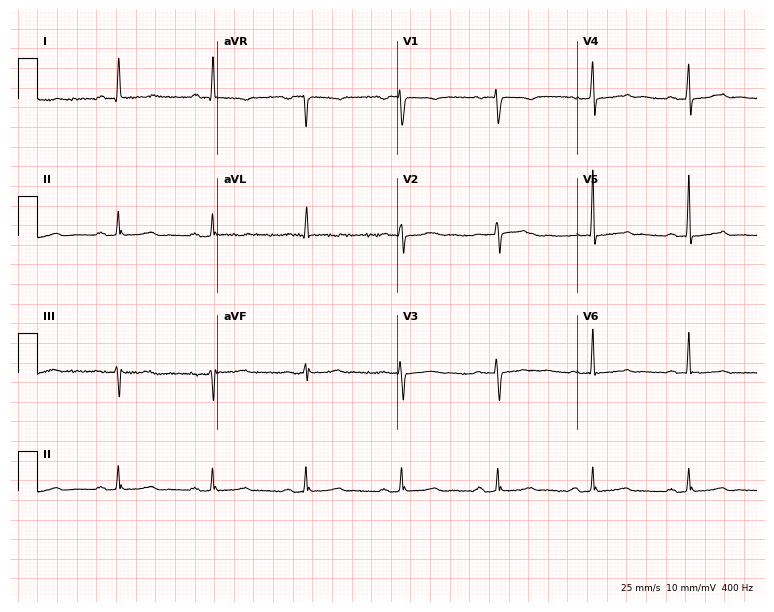
12-lead ECG from a 69-year-old woman. No first-degree AV block, right bundle branch block, left bundle branch block, sinus bradycardia, atrial fibrillation or sinus tachycardia recorded for this tracing. Findings outside these six are not listed.